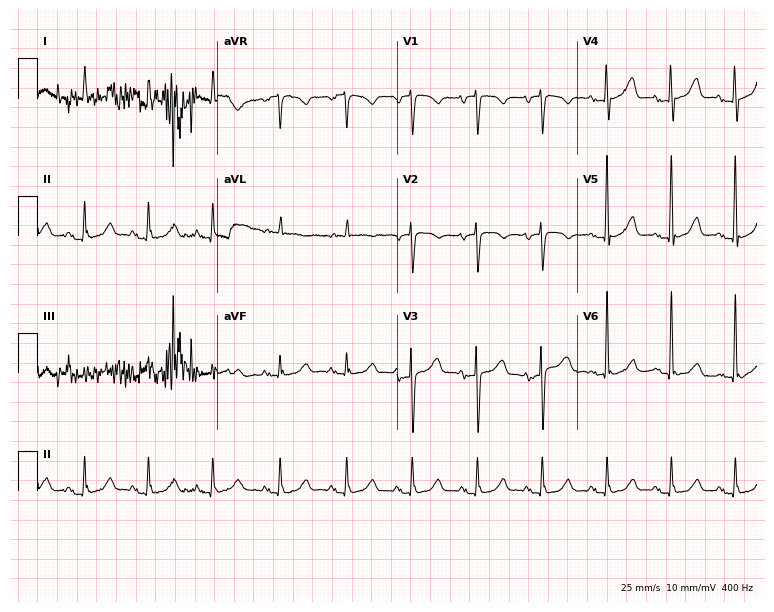
Resting 12-lead electrocardiogram (7.3-second recording at 400 Hz). Patient: a female, 81 years old. None of these six findings is recorded: first-degree AV block, right bundle branch block (RBBB), left bundle branch block (LBBB), sinus bradycardia, atrial fibrillation (AF), sinus tachycardia.